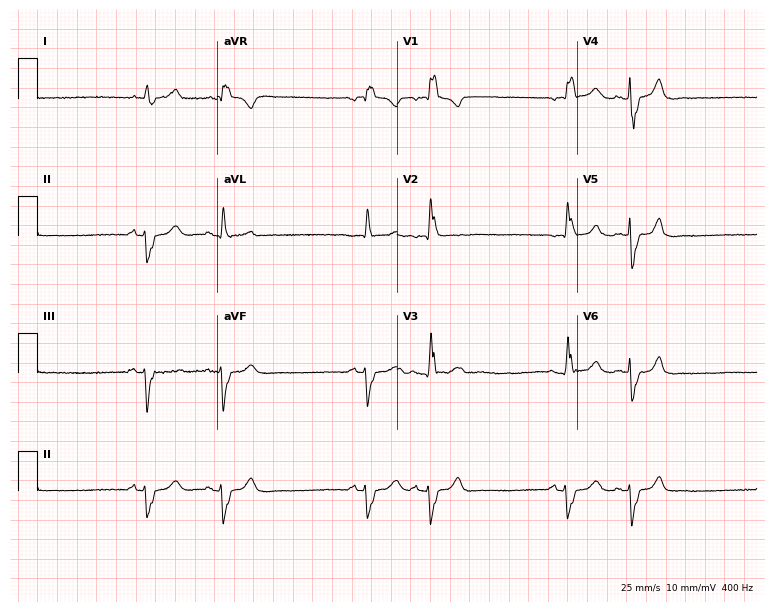
Resting 12-lead electrocardiogram. Patient: a 79-year-old man. The tracing shows right bundle branch block.